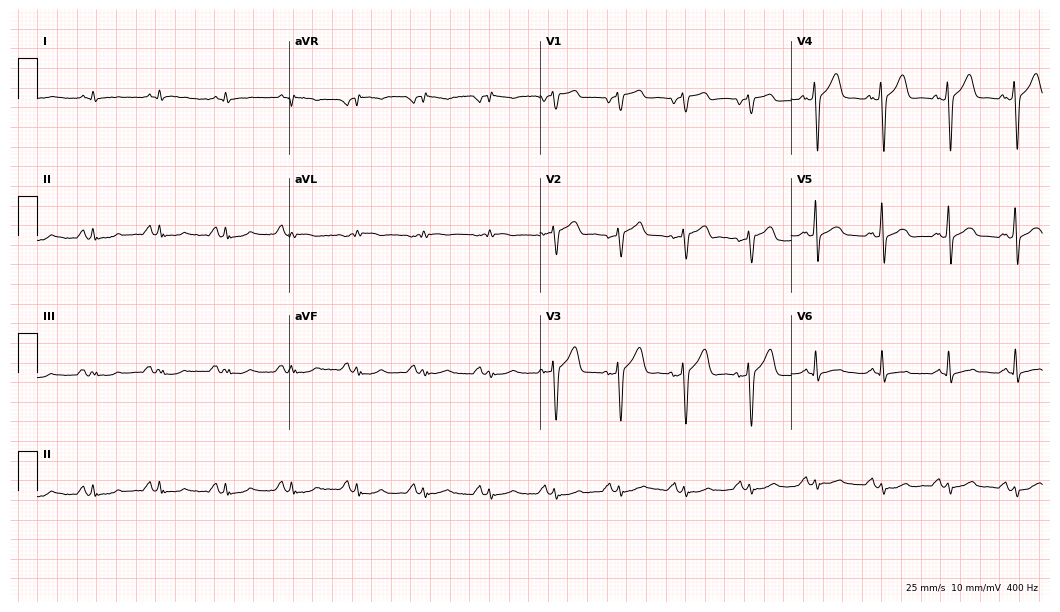
12-lead ECG from a 76-year-old male patient. No first-degree AV block, right bundle branch block, left bundle branch block, sinus bradycardia, atrial fibrillation or sinus tachycardia recorded for this tracing.